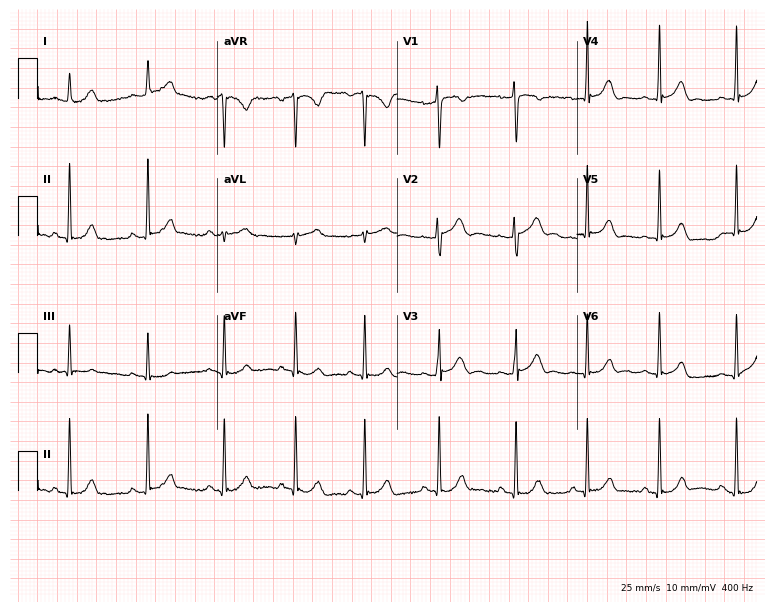
Electrocardiogram, a 24-year-old female. Overall reading on record: normal ECG.